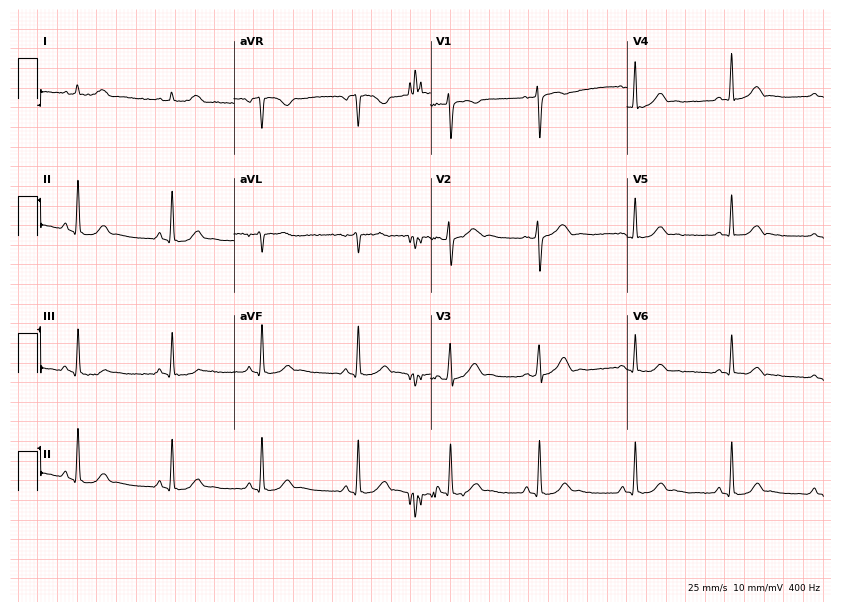
Resting 12-lead electrocardiogram (8-second recording at 400 Hz). Patient: a 21-year-old female. None of these six findings is recorded: first-degree AV block, right bundle branch block, left bundle branch block, sinus bradycardia, atrial fibrillation, sinus tachycardia. Findings outside these six are not listed.